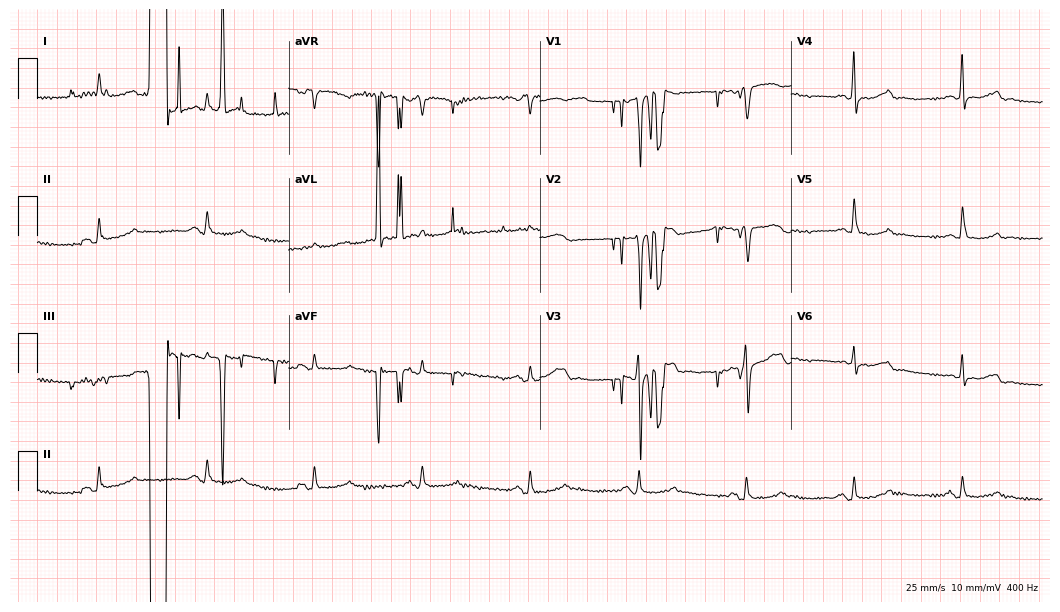
12-lead ECG from a 74-year-old man (10.2-second recording at 400 Hz). No first-degree AV block, right bundle branch block, left bundle branch block, sinus bradycardia, atrial fibrillation or sinus tachycardia recorded for this tracing.